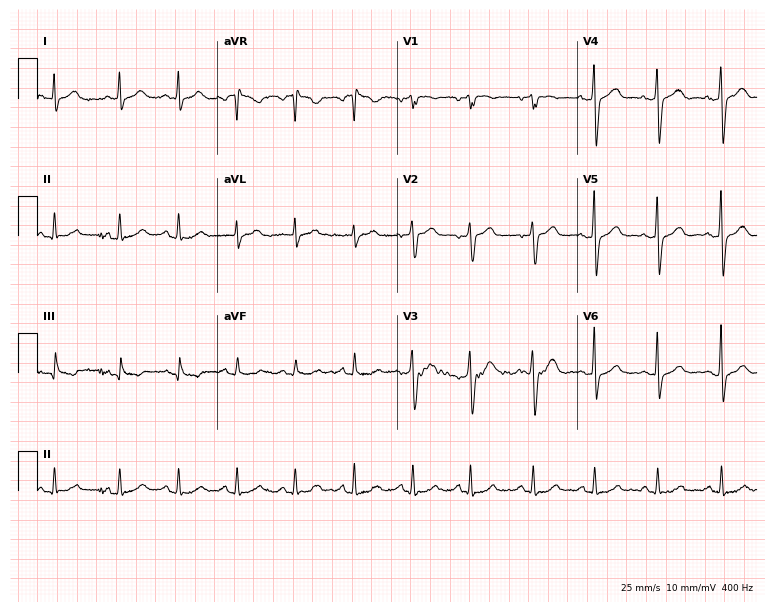
Standard 12-lead ECG recorded from a 70-year-old female patient (7.3-second recording at 400 Hz). None of these six findings is recorded: first-degree AV block, right bundle branch block (RBBB), left bundle branch block (LBBB), sinus bradycardia, atrial fibrillation (AF), sinus tachycardia.